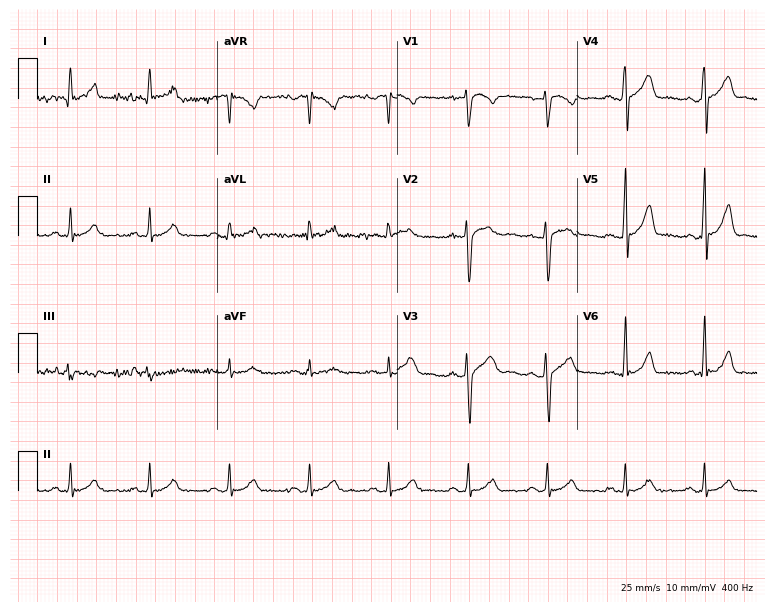
Electrocardiogram (7.3-second recording at 400 Hz), a man, 28 years old. Overall reading on record: normal ECG.